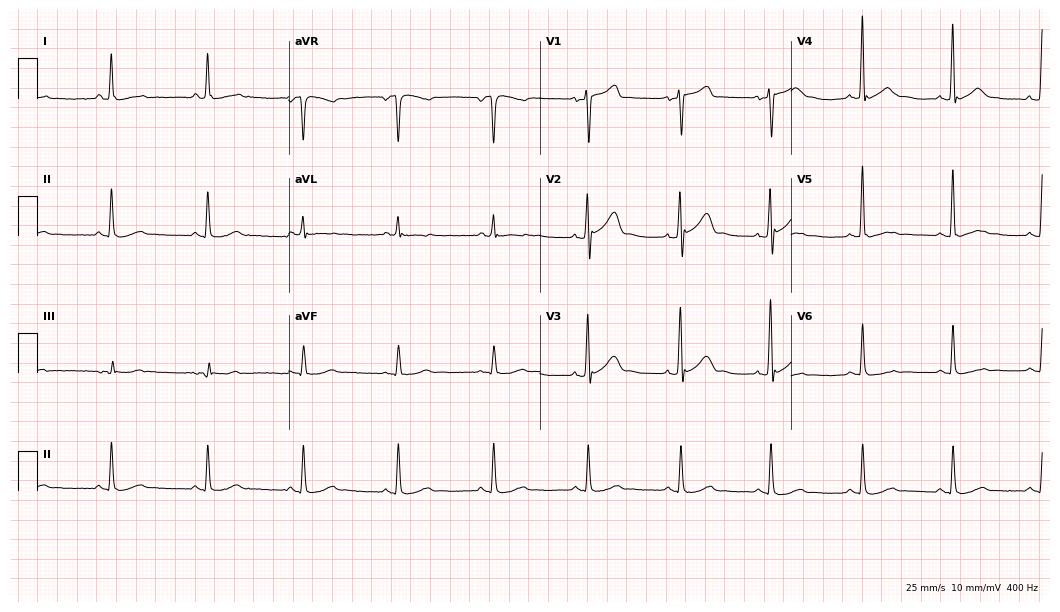
Resting 12-lead electrocardiogram. Patient: a man, 57 years old. None of these six findings is recorded: first-degree AV block, right bundle branch block, left bundle branch block, sinus bradycardia, atrial fibrillation, sinus tachycardia. Other findings, if any, are not listed.